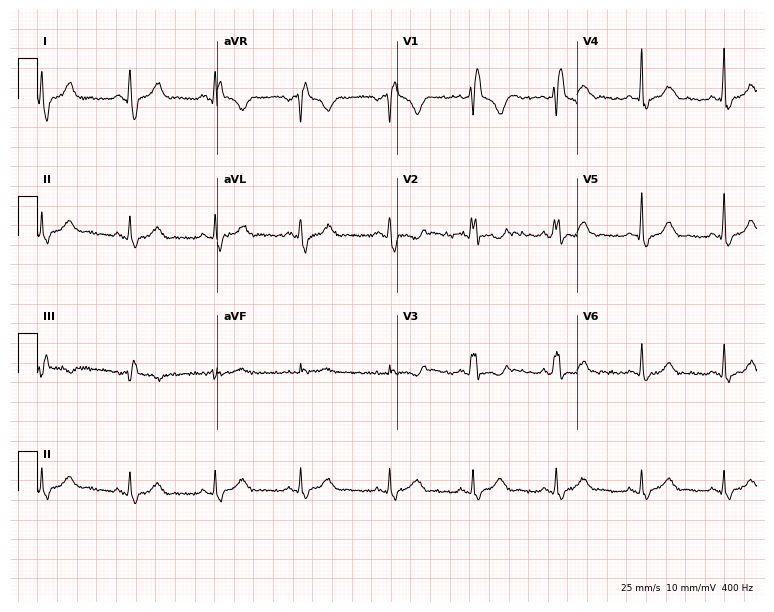
ECG (7.3-second recording at 400 Hz) — a 33-year-old female. Findings include right bundle branch block.